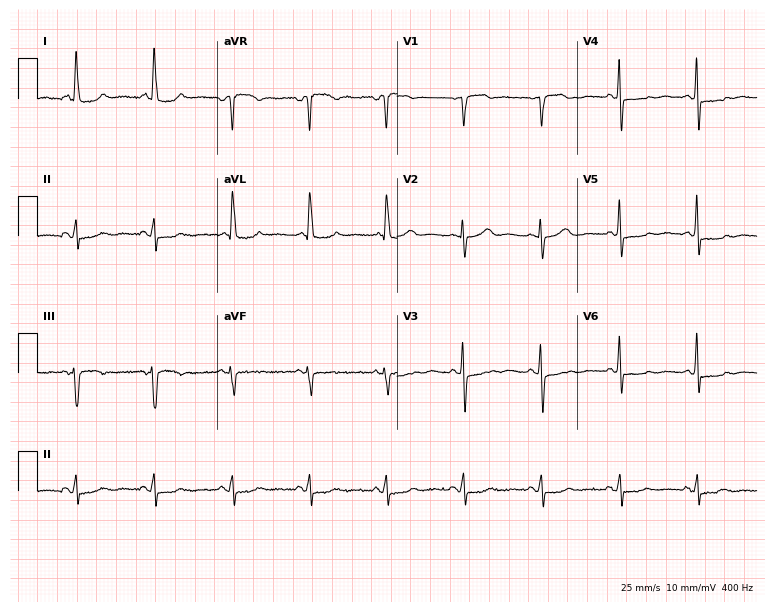
Electrocardiogram, a 74-year-old woman. Of the six screened findings (first-degree AV block, right bundle branch block (RBBB), left bundle branch block (LBBB), sinus bradycardia, atrial fibrillation (AF), sinus tachycardia), none is recorded. Other findings, if any, are not listed.